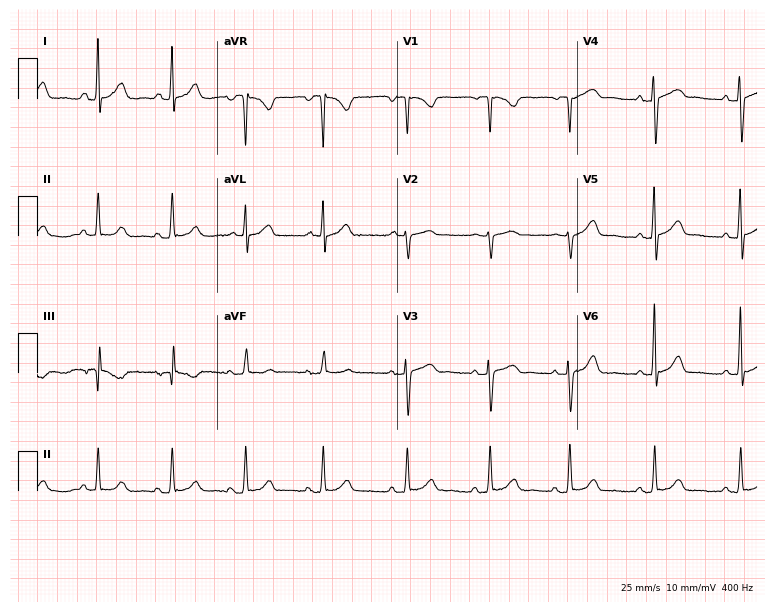
12-lead ECG from a female, 40 years old. Recorded interpretation: within normal limits.